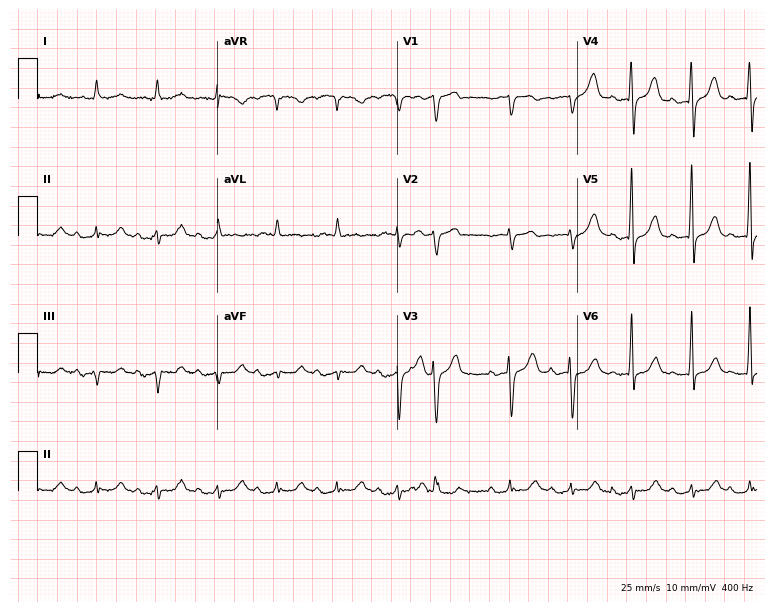
12-lead ECG from a 76-year-old male patient (7.3-second recording at 400 Hz). No first-degree AV block, right bundle branch block, left bundle branch block, sinus bradycardia, atrial fibrillation or sinus tachycardia recorded for this tracing.